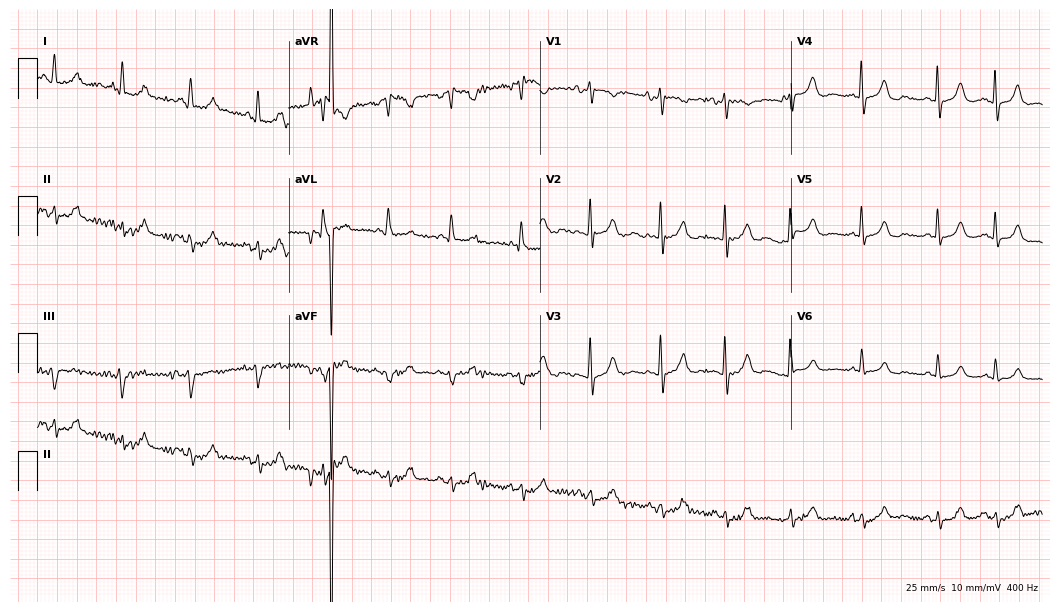
Electrocardiogram (10.2-second recording at 400 Hz), a woman, 85 years old. Of the six screened findings (first-degree AV block, right bundle branch block, left bundle branch block, sinus bradycardia, atrial fibrillation, sinus tachycardia), none is recorded.